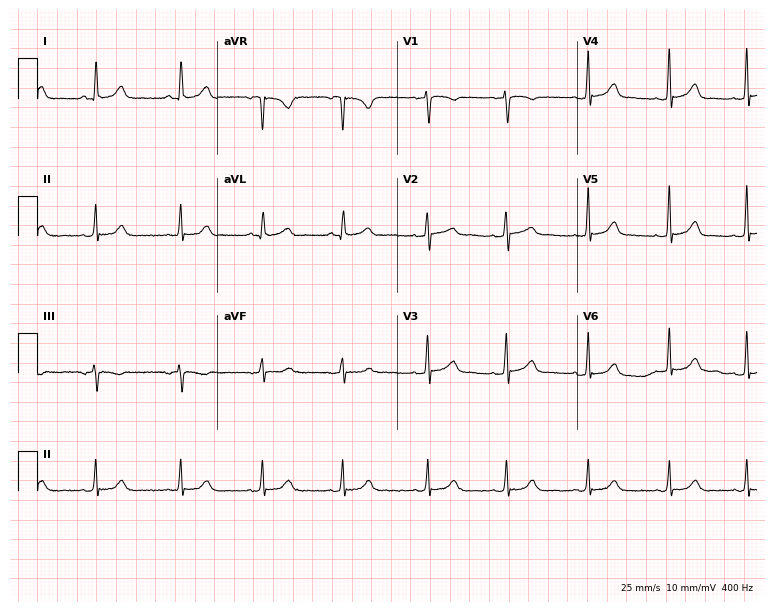
12-lead ECG from a 22-year-old female patient. Recorded interpretation: within normal limits.